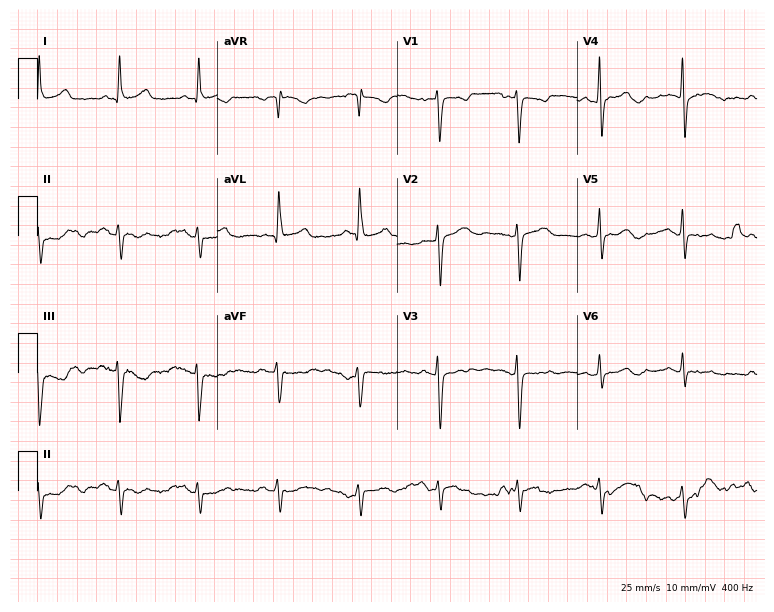
ECG (7.3-second recording at 400 Hz) — a 67-year-old female. Screened for six findings — first-degree AV block, right bundle branch block, left bundle branch block, sinus bradycardia, atrial fibrillation, sinus tachycardia — none is recorded.